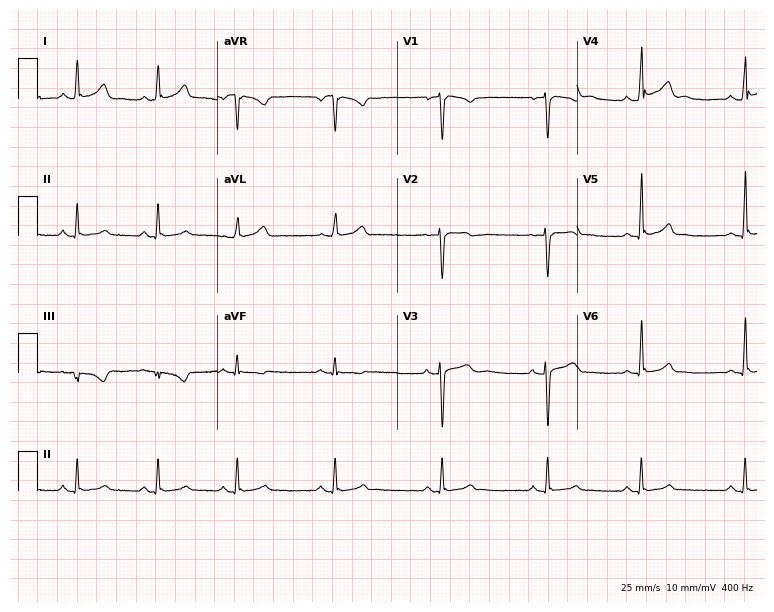
Resting 12-lead electrocardiogram. Patient: a 27-year-old female. Read as a normal ECG.